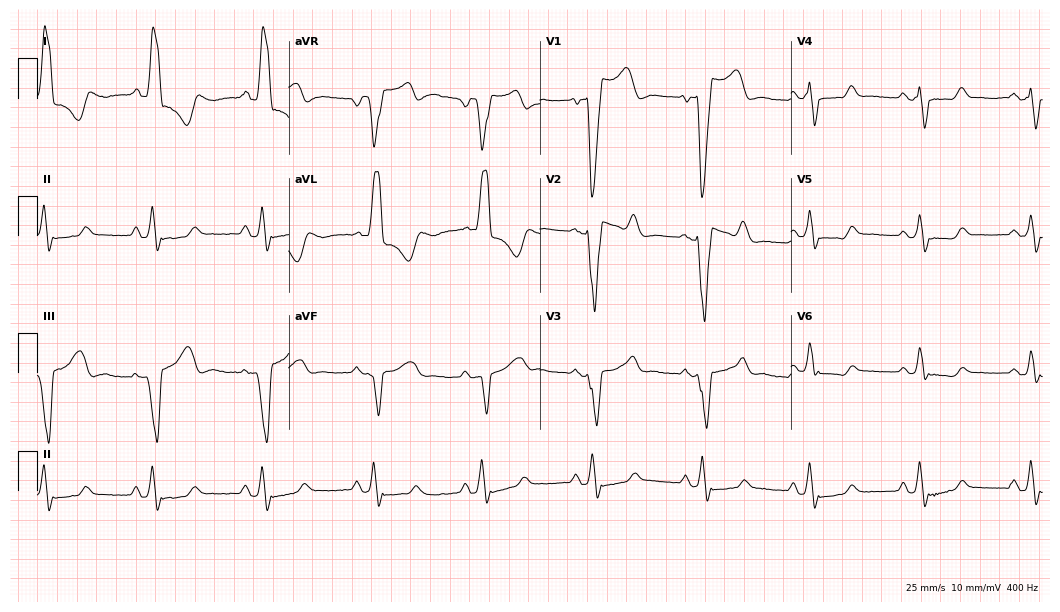
12-lead ECG from a 67-year-old female patient (10.2-second recording at 400 Hz). Shows left bundle branch block (LBBB).